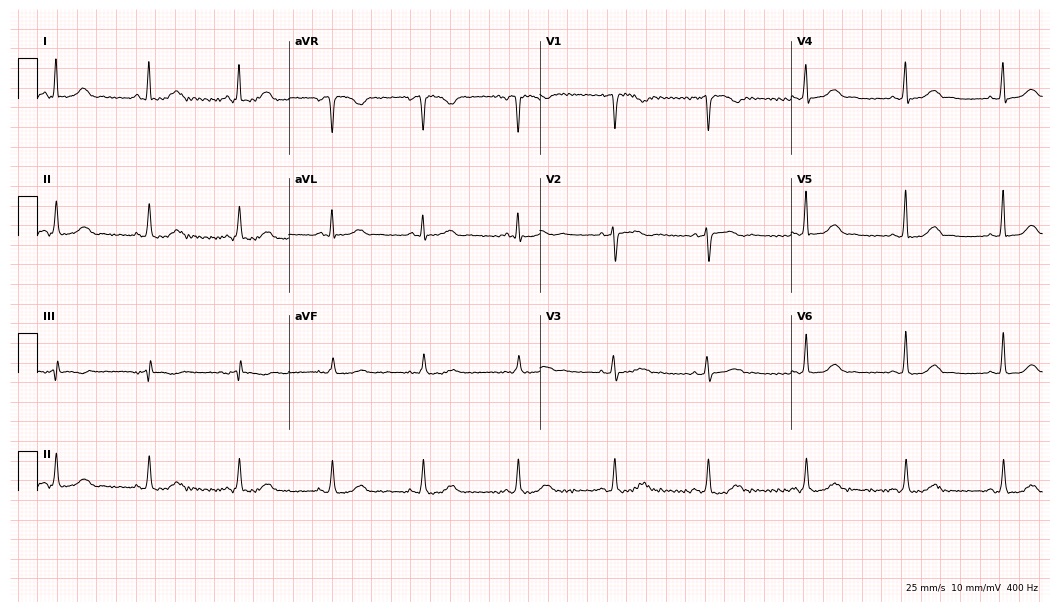
Electrocardiogram, a 75-year-old female. Of the six screened findings (first-degree AV block, right bundle branch block, left bundle branch block, sinus bradycardia, atrial fibrillation, sinus tachycardia), none is recorded. Only these six findings were labelled.